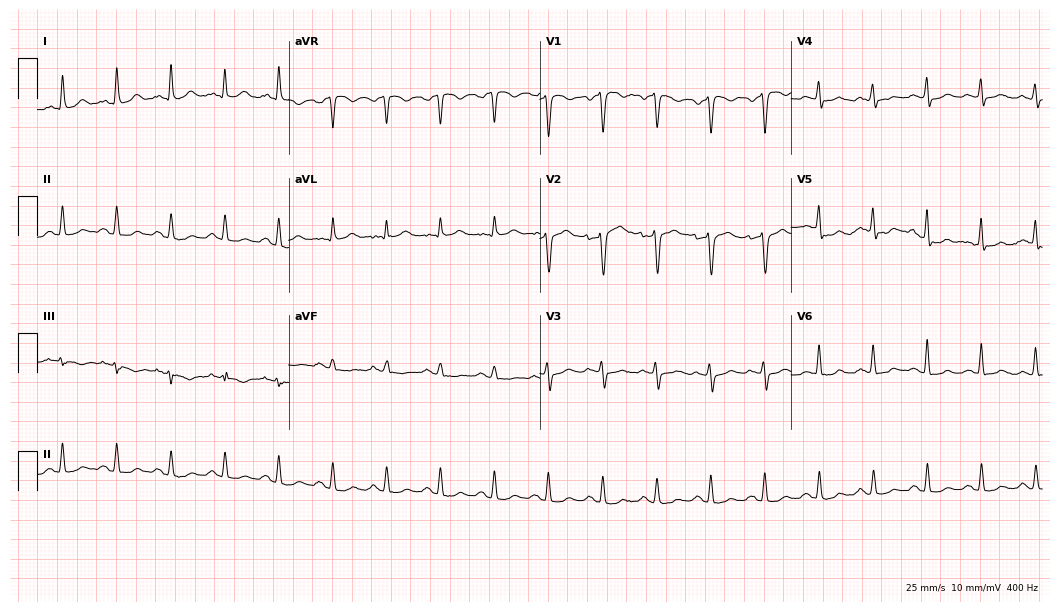
12-lead ECG from a 54-year-old woman. No first-degree AV block, right bundle branch block, left bundle branch block, sinus bradycardia, atrial fibrillation or sinus tachycardia recorded for this tracing.